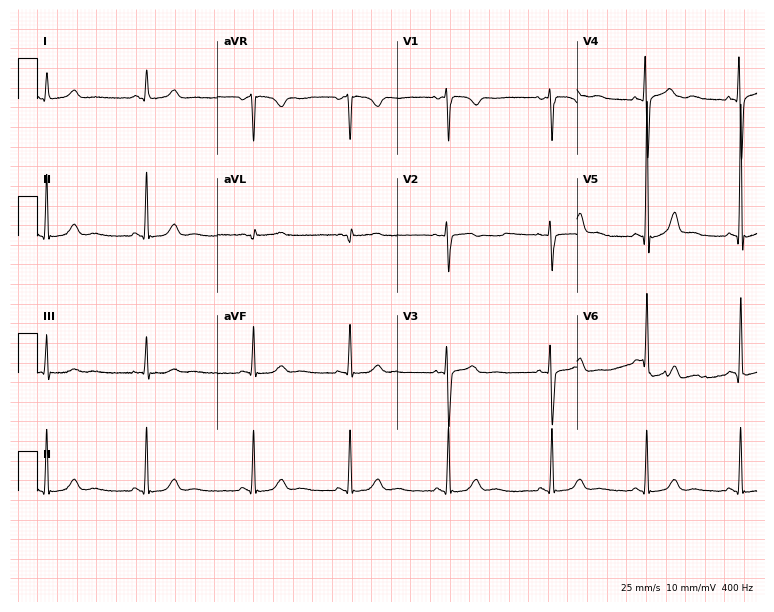
12-lead ECG (7.3-second recording at 400 Hz) from a female, 31 years old. Labelled as a normal ECG.